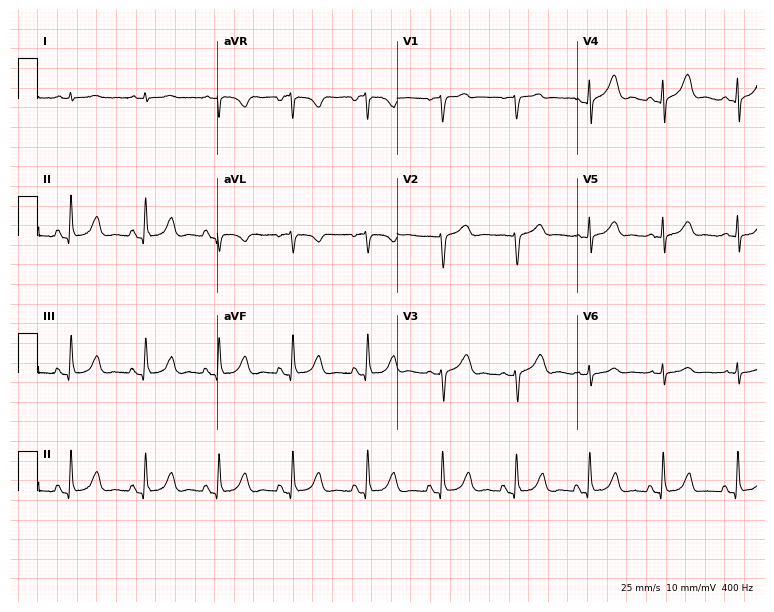
ECG (7.3-second recording at 400 Hz) — an 83-year-old female patient. Screened for six findings — first-degree AV block, right bundle branch block (RBBB), left bundle branch block (LBBB), sinus bradycardia, atrial fibrillation (AF), sinus tachycardia — none is recorded.